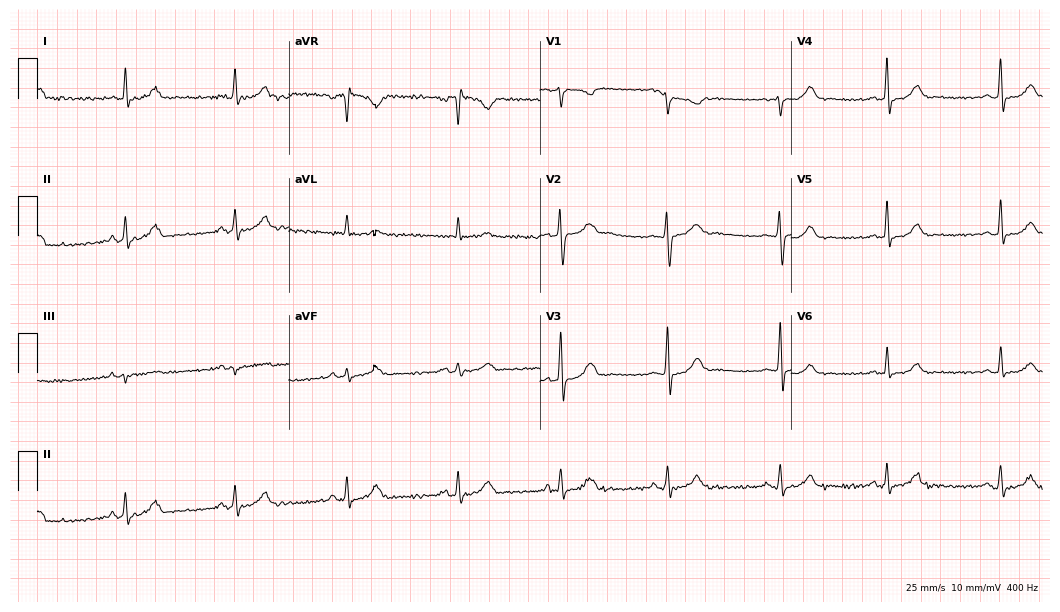
12-lead ECG (10.2-second recording at 400 Hz) from a female patient, 39 years old. Screened for six findings — first-degree AV block, right bundle branch block (RBBB), left bundle branch block (LBBB), sinus bradycardia, atrial fibrillation (AF), sinus tachycardia — none is recorded.